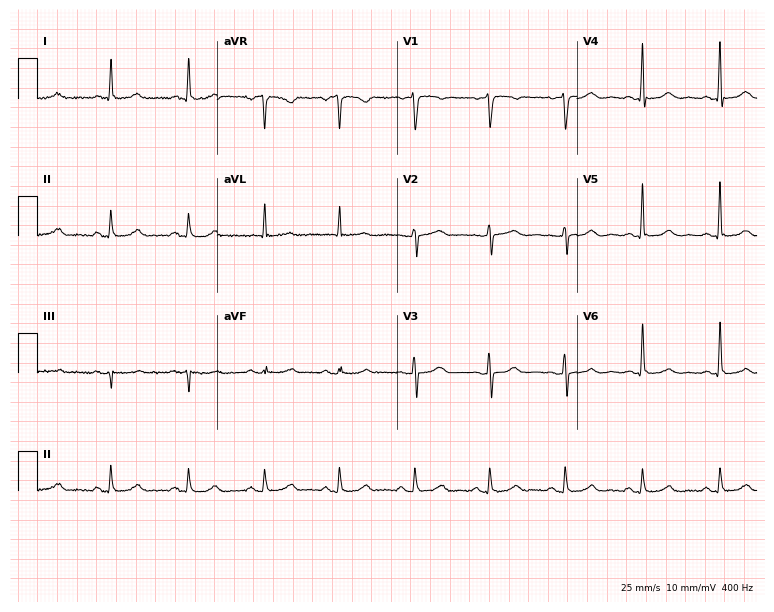
Standard 12-lead ECG recorded from a 52-year-old female. Read as a normal ECG.